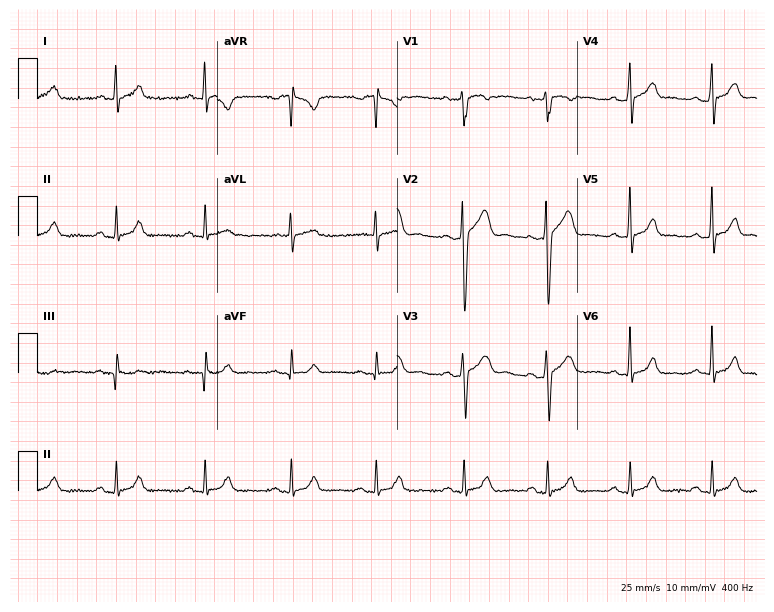
ECG (7.3-second recording at 400 Hz) — a 42-year-old male patient. Labelled as a normal ECG.